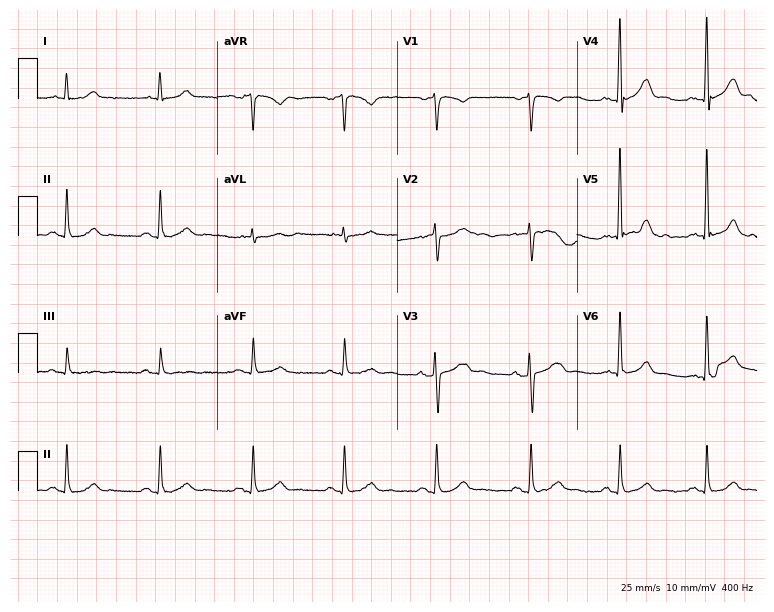
Electrocardiogram, a man, 72 years old. Overall reading on record: normal ECG.